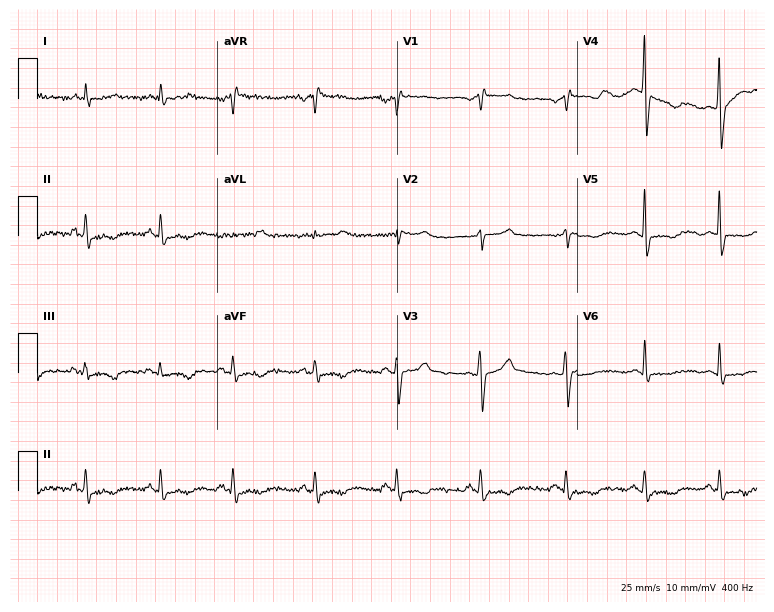
Standard 12-lead ECG recorded from a 39-year-old man (7.3-second recording at 400 Hz). None of these six findings is recorded: first-degree AV block, right bundle branch block (RBBB), left bundle branch block (LBBB), sinus bradycardia, atrial fibrillation (AF), sinus tachycardia.